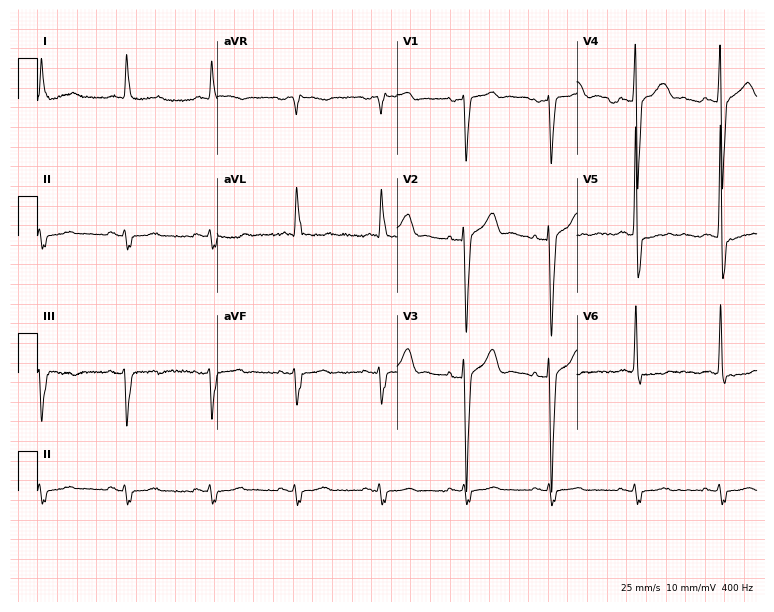
12-lead ECG from an 81-year-old man. No first-degree AV block, right bundle branch block, left bundle branch block, sinus bradycardia, atrial fibrillation or sinus tachycardia recorded for this tracing. Only these six findings were labelled.